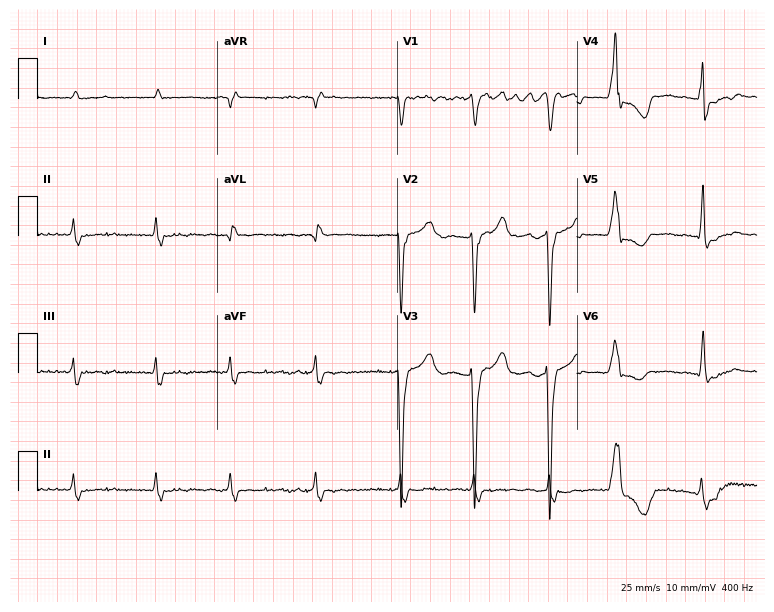
12-lead ECG from an 85-year-old man. Screened for six findings — first-degree AV block, right bundle branch block, left bundle branch block, sinus bradycardia, atrial fibrillation, sinus tachycardia — none is recorded. Findings outside these six are not listed.